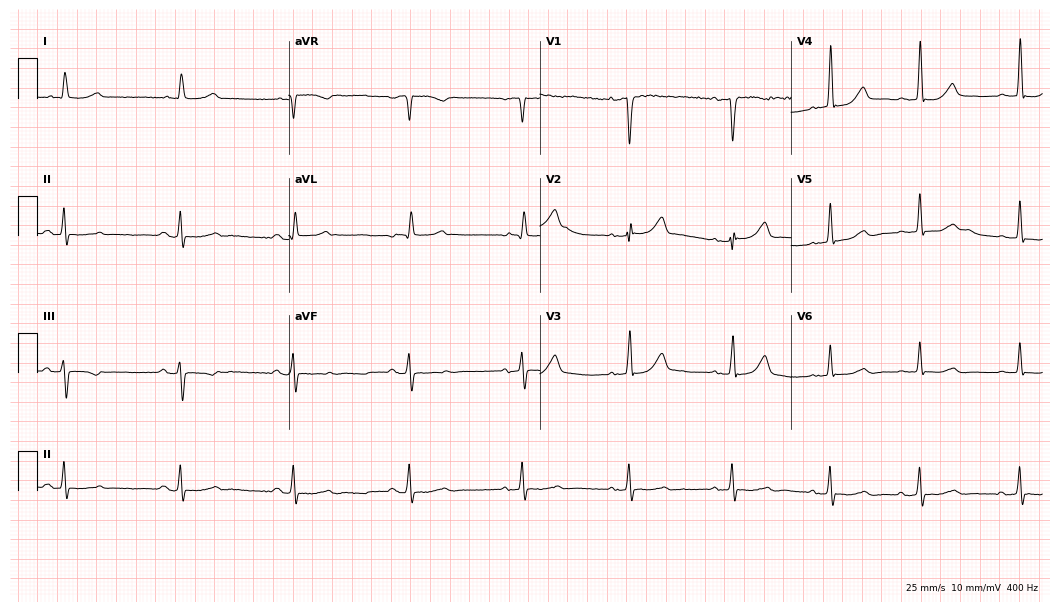
12-lead ECG from a 78-year-old female. Screened for six findings — first-degree AV block, right bundle branch block, left bundle branch block, sinus bradycardia, atrial fibrillation, sinus tachycardia — none is recorded. Other findings, if any, are not listed.